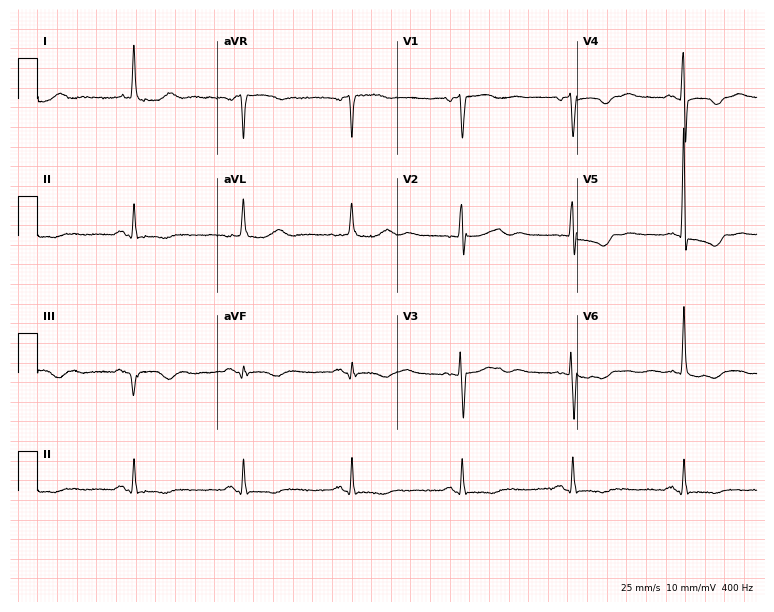
ECG — a woman, 81 years old. Labelled as a normal ECG.